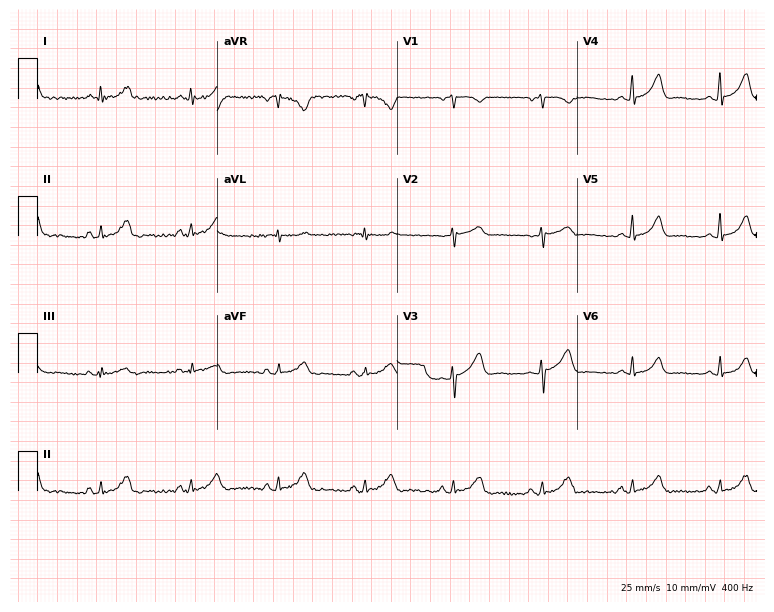
Resting 12-lead electrocardiogram. Patient: a 46-year-old woman. None of these six findings is recorded: first-degree AV block, right bundle branch block (RBBB), left bundle branch block (LBBB), sinus bradycardia, atrial fibrillation (AF), sinus tachycardia.